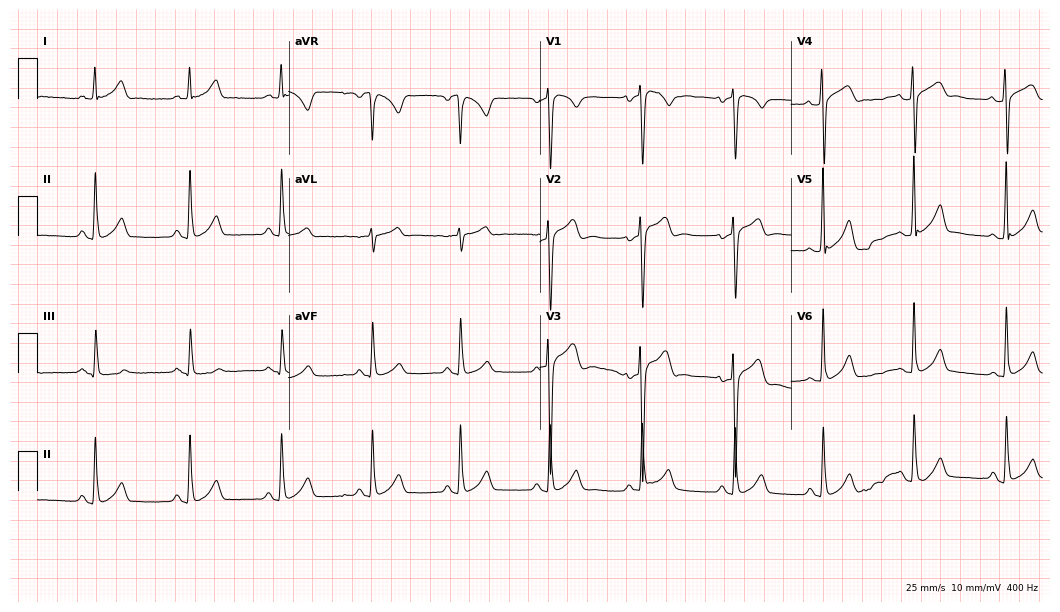
12-lead ECG from a 32-year-old male patient. Labelled as a normal ECG.